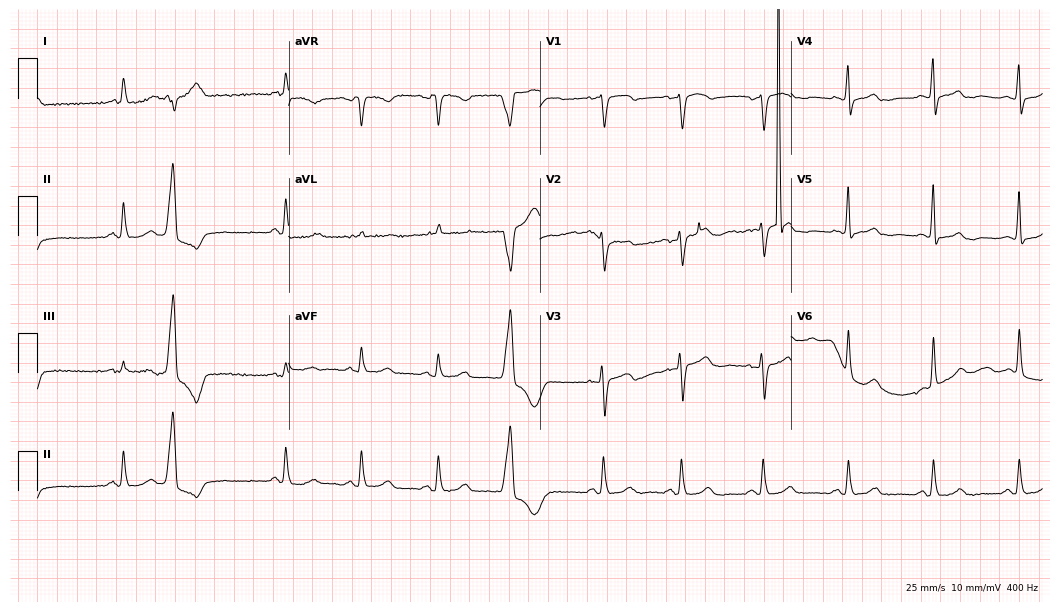
Electrocardiogram, a 71-year-old female patient. Of the six screened findings (first-degree AV block, right bundle branch block, left bundle branch block, sinus bradycardia, atrial fibrillation, sinus tachycardia), none is recorded. Other findings, if any, are not listed.